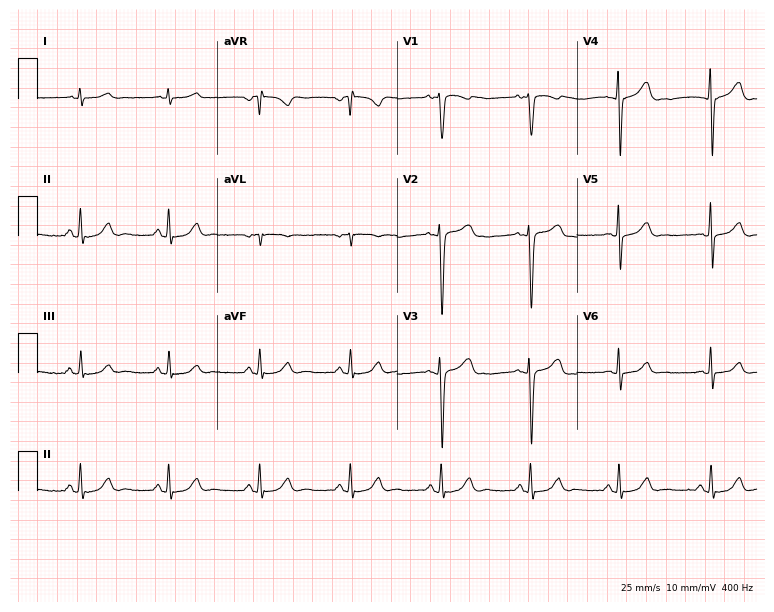
ECG — a man, 45 years old. Labelled as a normal ECG.